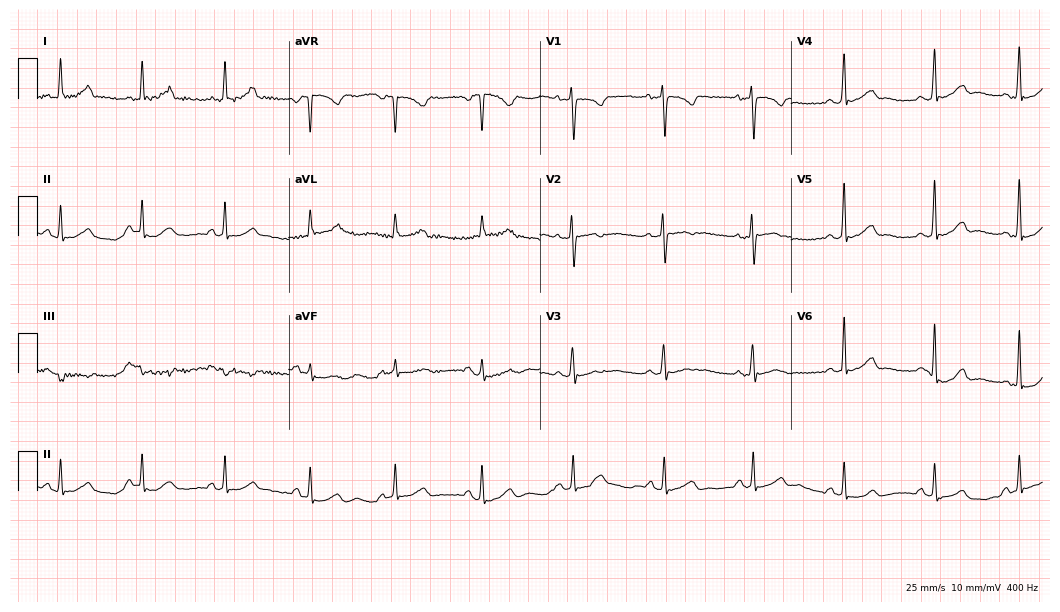
Electrocardiogram, a female patient, 29 years old. Overall reading on record: normal ECG.